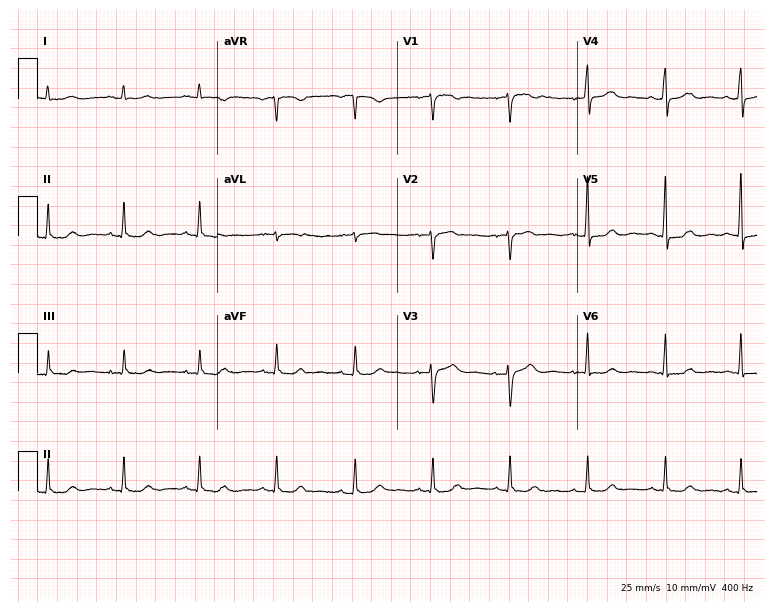
Electrocardiogram (7.3-second recording at 400 Hz), a female, 53 years old. Of the six screened findings (first-degree AV block, right bundle branch block (RBBB), left bundle branch block (LBBB), sinus bradycardia, atrial fibrillation (AF), sinus tachycardia), none is recorded. Other findings, if any, are not listed.